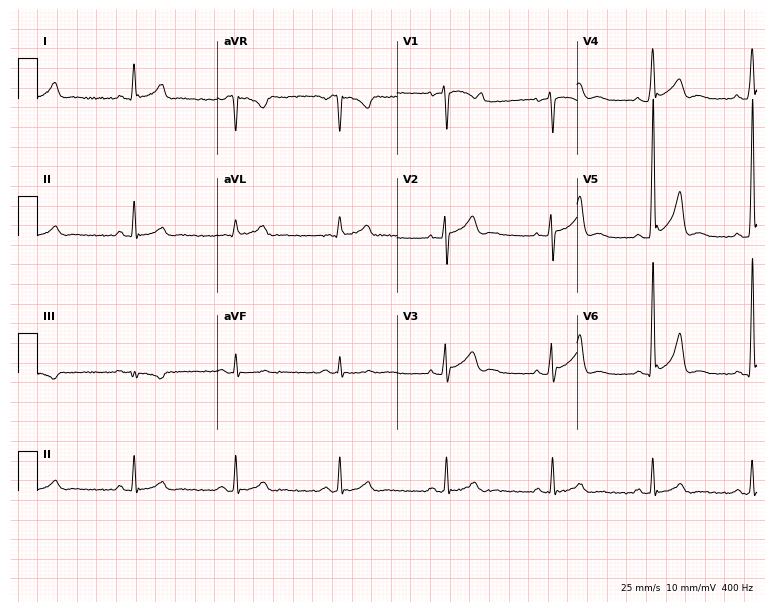
Standard 12-lead ECG recorded from a male, 41 years old (7.3-second recording at 400 Hz). None of these six findings is recorded: first-degree AV block, right bundle branch block, left bundle branch block, sinus bradycardia, atrial fibrillation, sinus tachycardia. Findings outside these six are not listed.